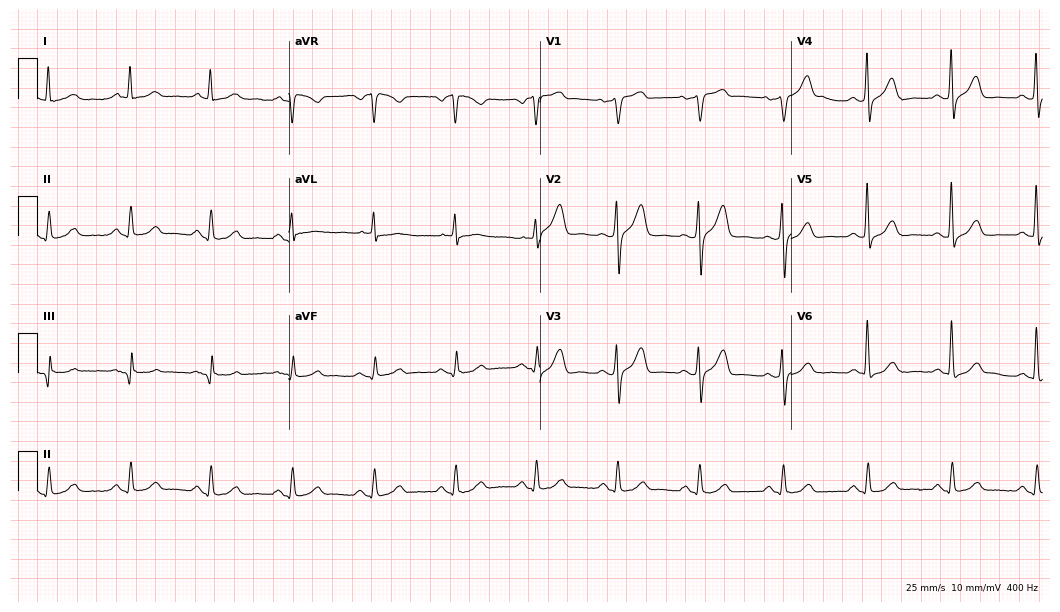
12-lead ECG from a 59-year-old man (10.2-second recording at 400 Hz). Recorded interpretation: within normal limits.